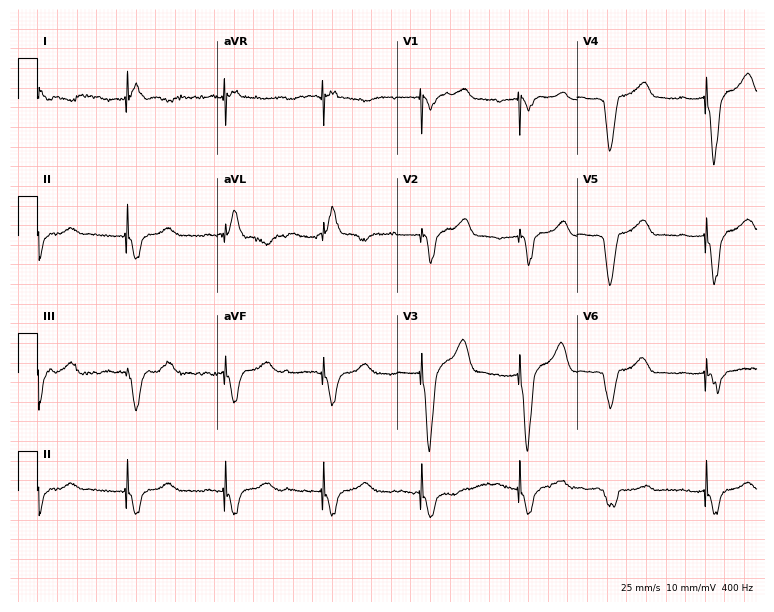
Standard 12-lead ECG recorded from a man, 80 years old. None of these six findings is recorded: first-degree AV block, right bundle branch block, left bundle branch block, sinus bradycardia, atrial fibrillation, sinus tachycardia. Other findings, if any, are not listed.